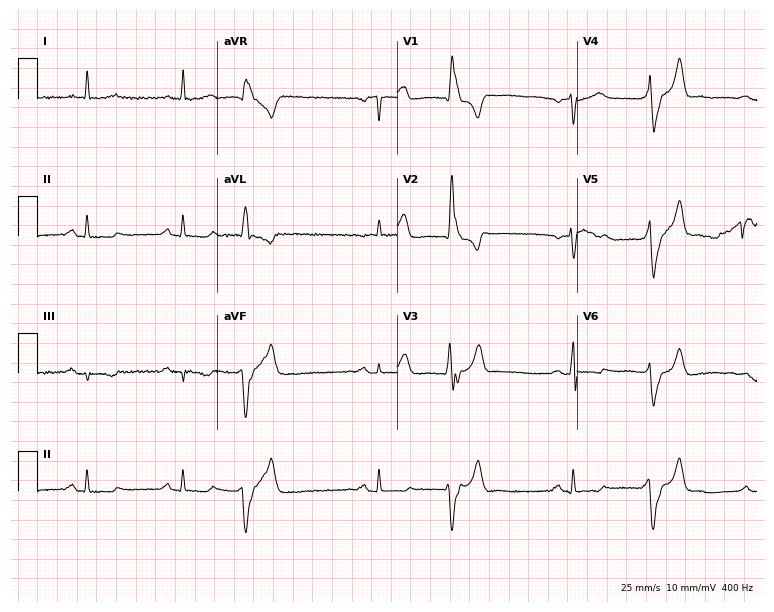
12-lead ECG from a male, 74 years old. No first-degree AV block, right bundle branch block, left bundle branch block, sinus bradycardia, atrial fibrillation or sinus tachycardia recorded for this tracing. Findings outside these six are not listed.